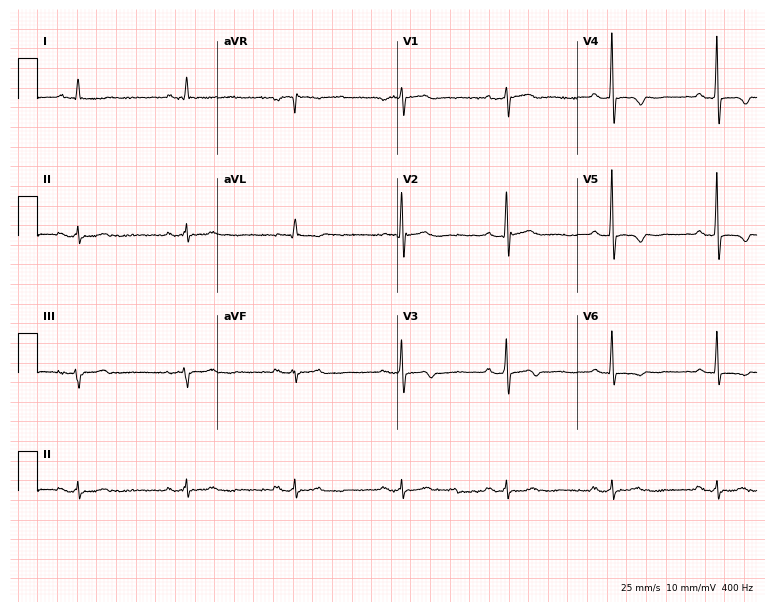
Standard 12-lead ECG recorded from a male patient, 75 years old (7.3-second recording at 400 Hz). None of these six findings is recorded: first-degree AV block, right bundle branch block (RBBB), left bundle branch block (LBBB), sinus bradycardia, atrial fibrillation (AF), sinus tachycardia.